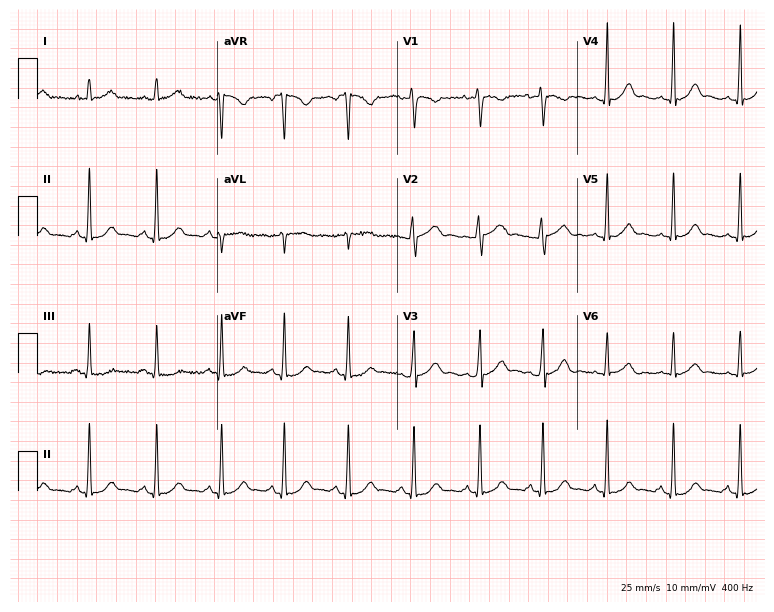
12-lead ECG (7.3-second recording at 400 Hz) from a 33-year-old female patient. Screened for six findings — first-degree AV block, right bundle branch block, left bundle branch block, sinus bradycardia, atrial fibrillation, sinus tachycardia — none is recorded. Other findings, if any, are not listed.